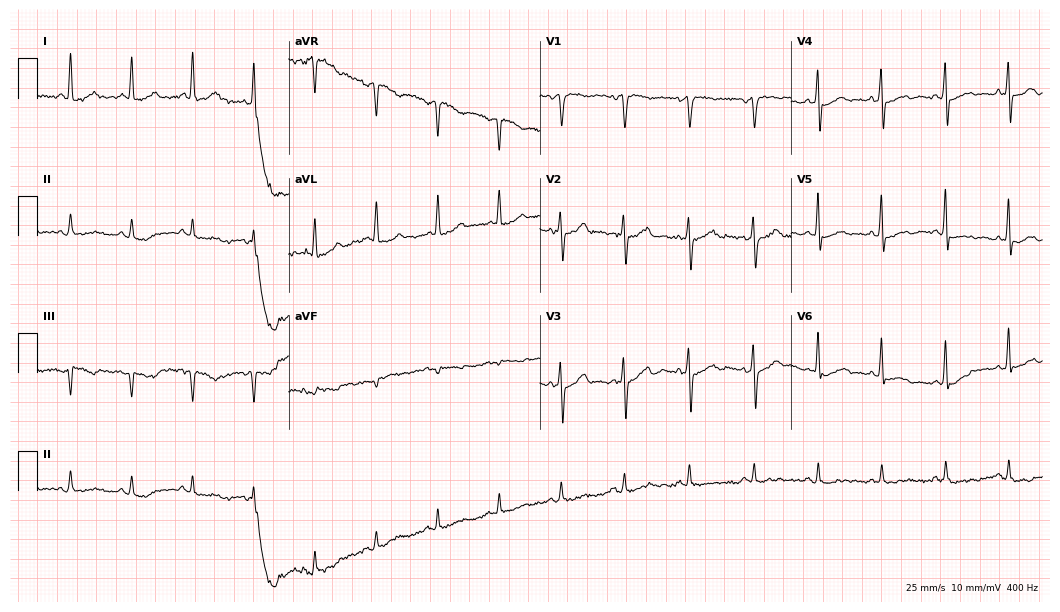
Standard 12-lead ECG recorded from a man, 45 years old (10.2-second recording at 400 Hz). Read as a normal ECG.